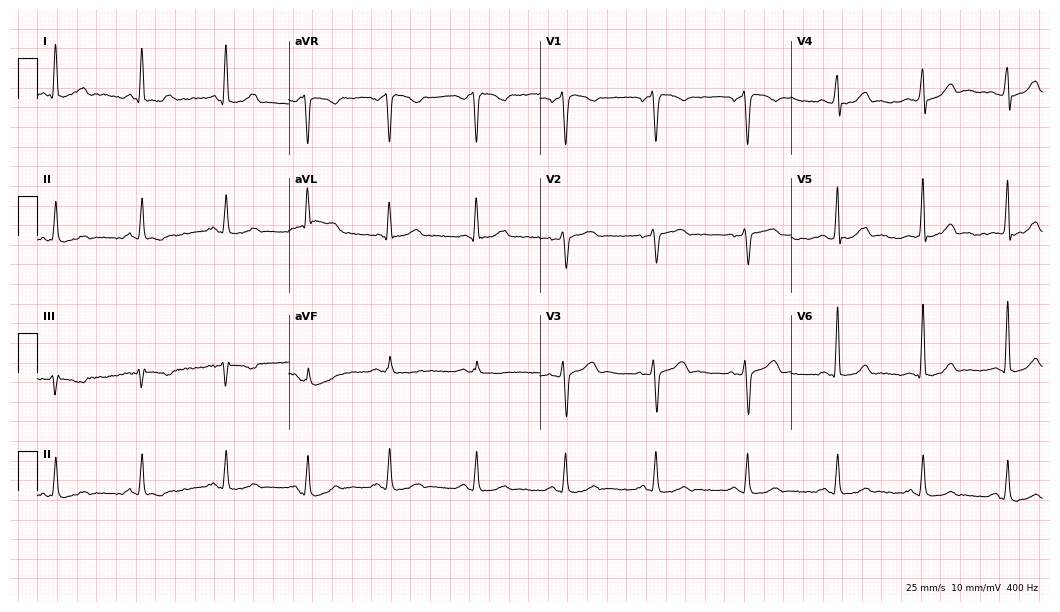
Electrocardiogram, a 33-year-old male patient. Of the six screened findings (first-degree AV block, right bundle branch block, left bundle branch block, sinus bradycardia, atrial fibrillation, sinus tachycardia), none is recorded.